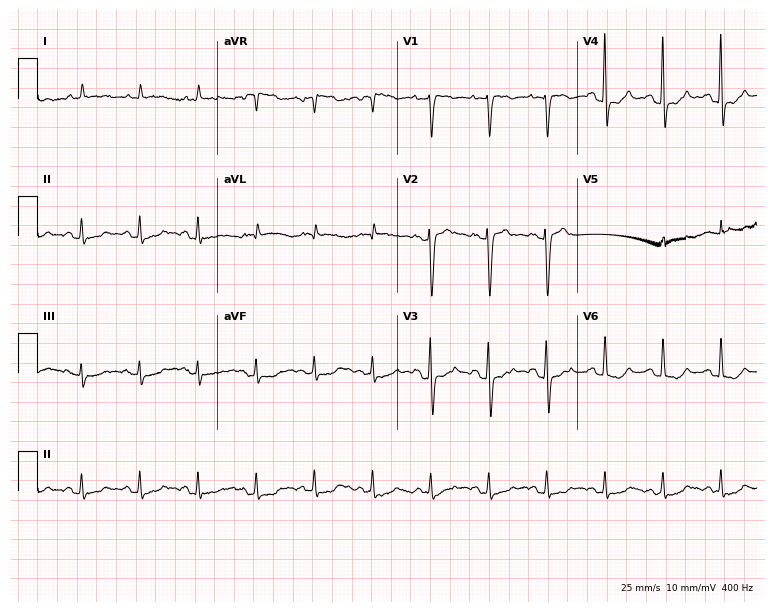
Electrocardiogram, an 81-year-old woman. Interpretation includes sinus tachycardia (a sinus rate of 100 beats per minute or more).